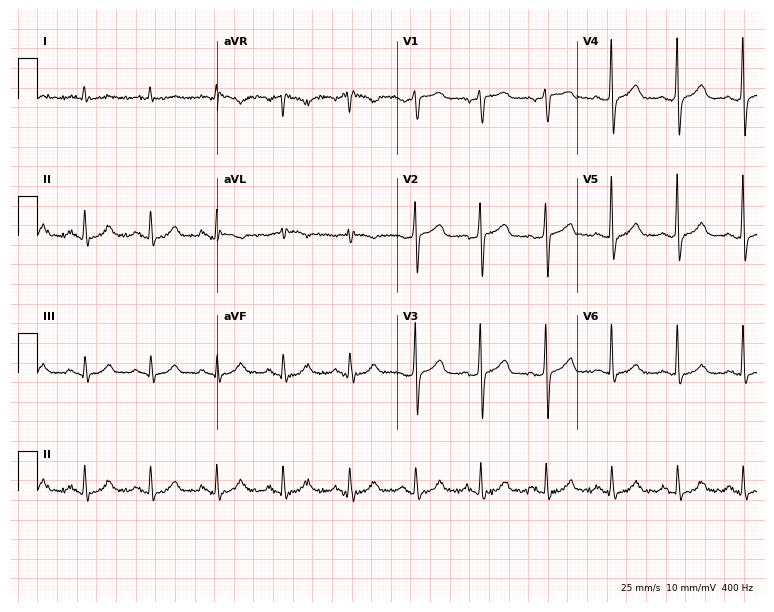
Standard 12-lead ECG recorded from a male patient, 68 years old (7.3-second recording at 400 Hz). None of these six findings is recorded: first-degree AV block, right bundle branch block, left bundle branch block, sinus bradycardia, atrial fibrillation, sinus tachycardia.